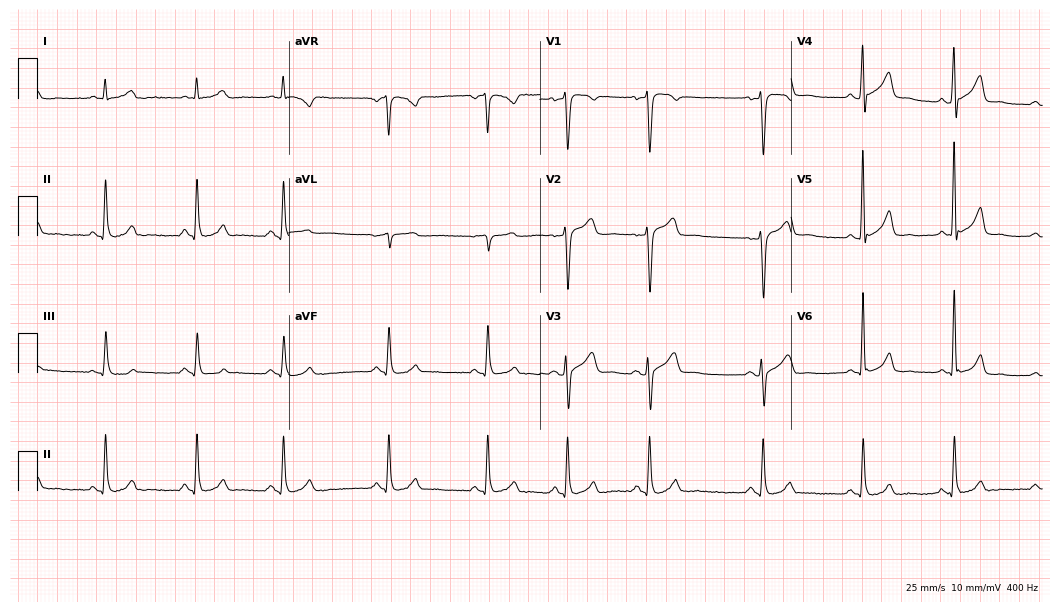
12-lead ECG (10.2-second recording at 400 Hz) from a male patient, 37 years old. Labelled as a normal ECG.